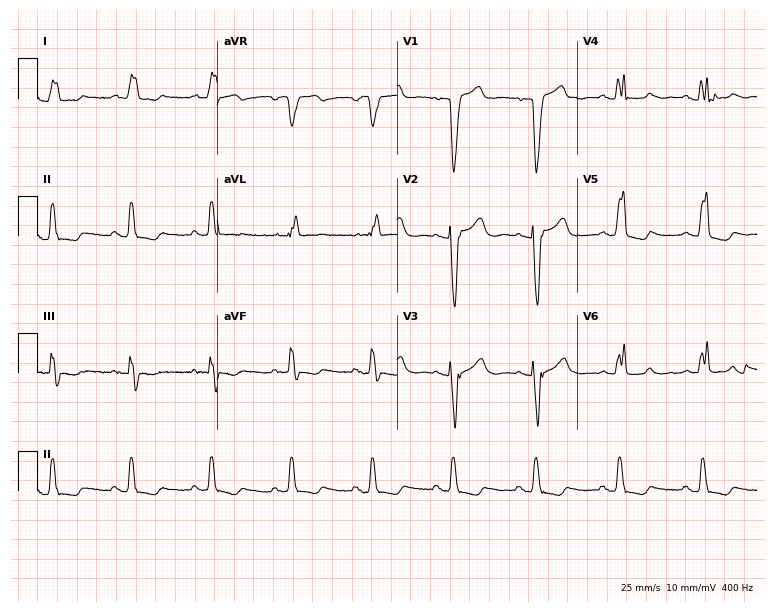
Resting 12-lead electrocardiogram (7.3-second recording at 400 Hz). Patient: a female, 60 years old. The tracing shows left bundle branch block (LBBB).